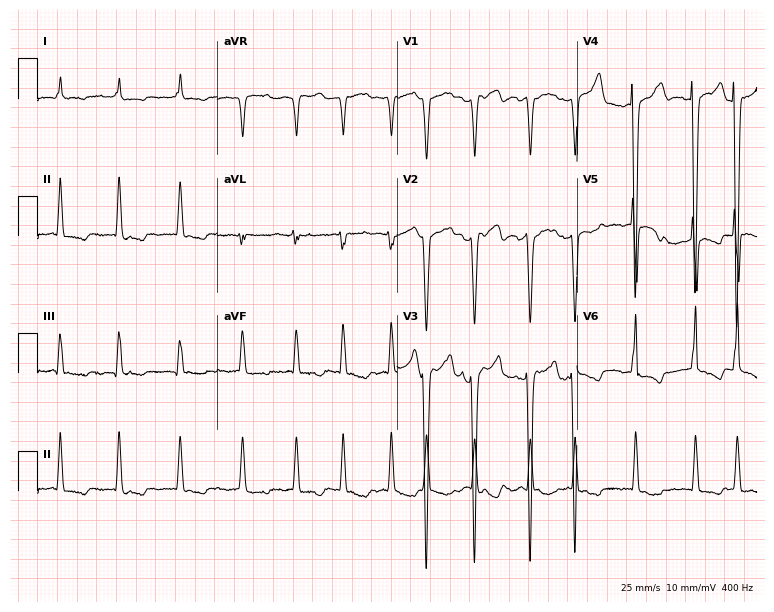
12-lead ECG (7.3-second recording at 400 Hz) from a man, 60 years old. Findings include atrial fibrillation.